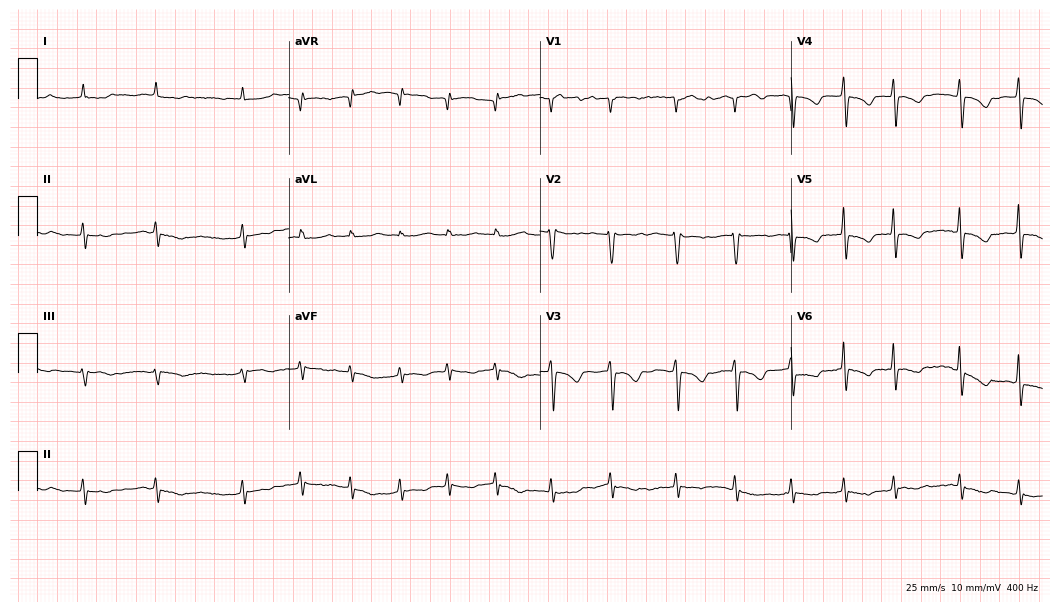
12-lead ECG from a female patient, 78 years old. Shows atrial fibrillation.